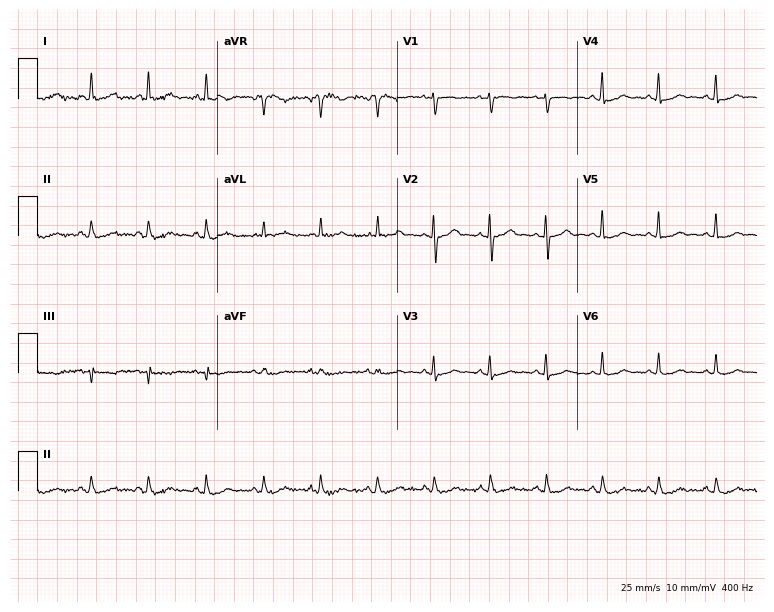
Electrocardiogram (7.3-second recording at 400 Hz), a female, 62 years old. Interpretation includes sinus tachycardia (a sinus rate of 100 beats per minute or more).